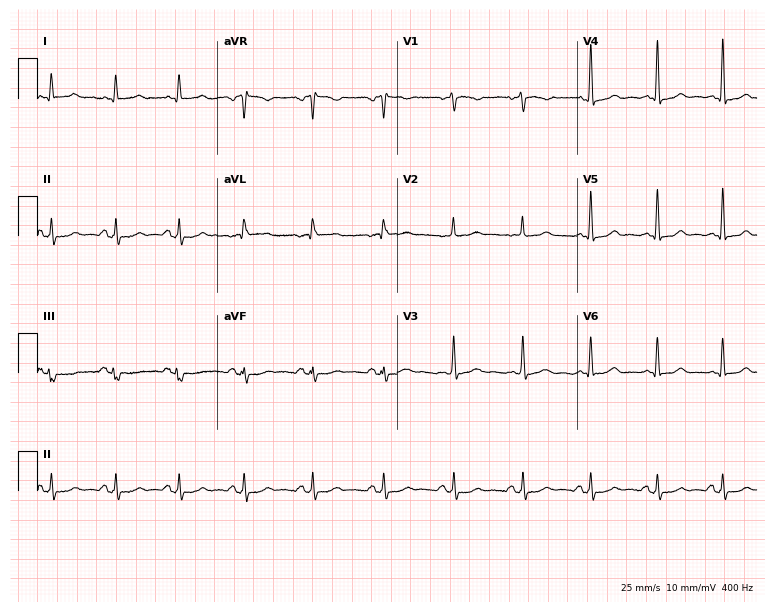
12-lead ECG from a female, 39 years old. Labelled as a normal ECG.